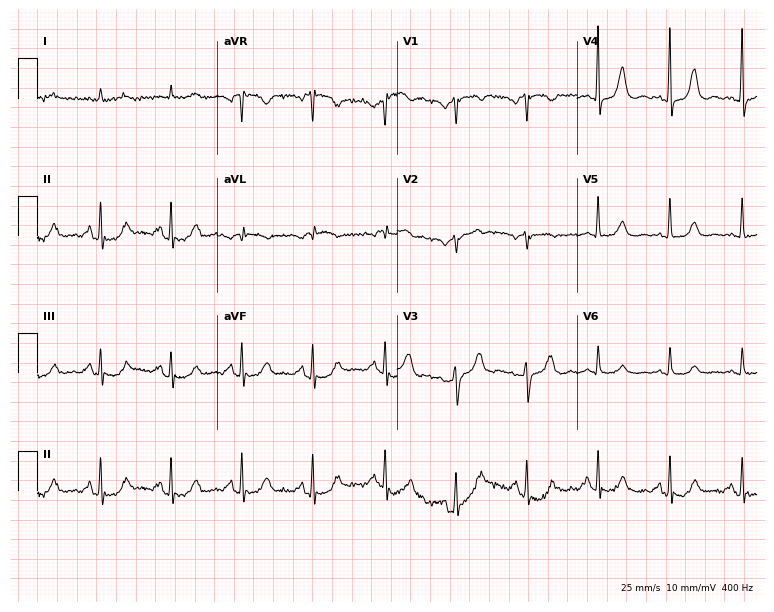
12-lead ECG (7.3-second recording at 400 Hz) from a male patient, 67 years old. Screened for six findings — first-degree AV block, right bundle branch block, left bundle branch block, sinus bradycardia, atrial fibrillation, sinus tachycardia — none is recorded.